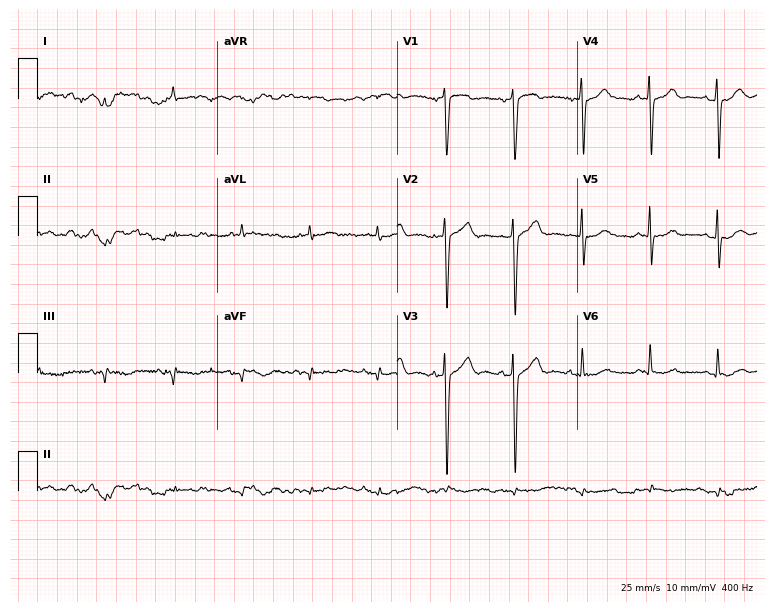
Standard 12-lead ECG recorded from a 68-year-old man. None of these six findings is recorded: first-degree AV block, right bundle branch block, left bundle branch block, sinus bradycardia, atrial fibrillation, sinus tachycardia.